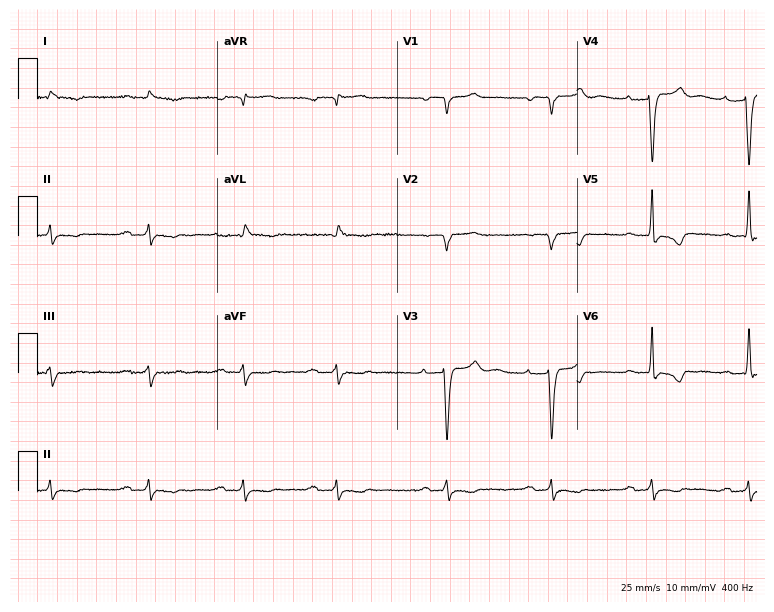
ECG (7.3-second recording at 400 Hz) — a 63-year-old male patient. Findings include first-degree AV block.